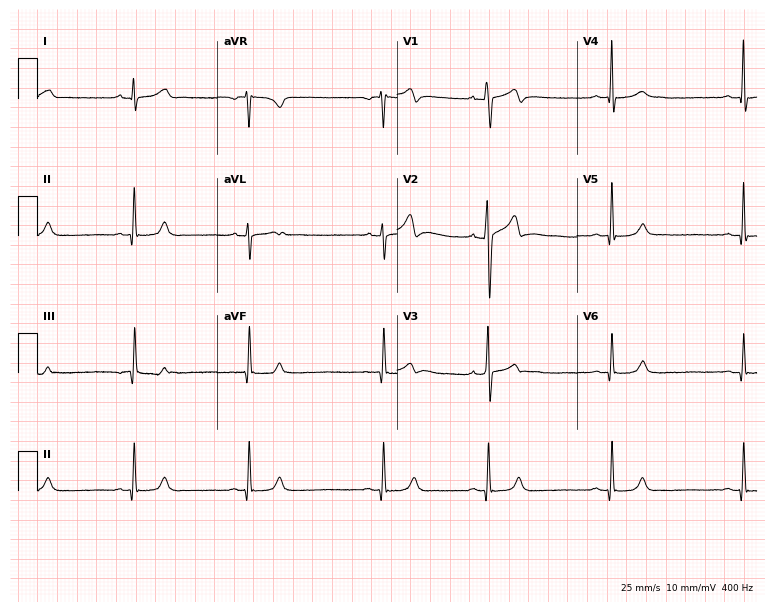
Electrocardiogram, a male, 21 years old. Interpretation includes sinus bradycardia (a sinus rate of 50 beats per minute or less).